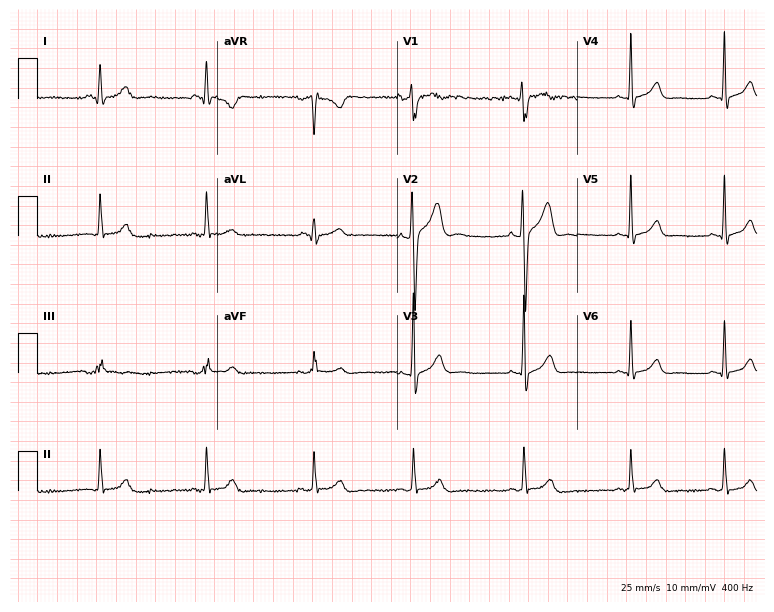
12-lead ECG from a male patient, 20 years old (7.3-second recording at 400 Hz). Recorded interpretation: within normal limits.